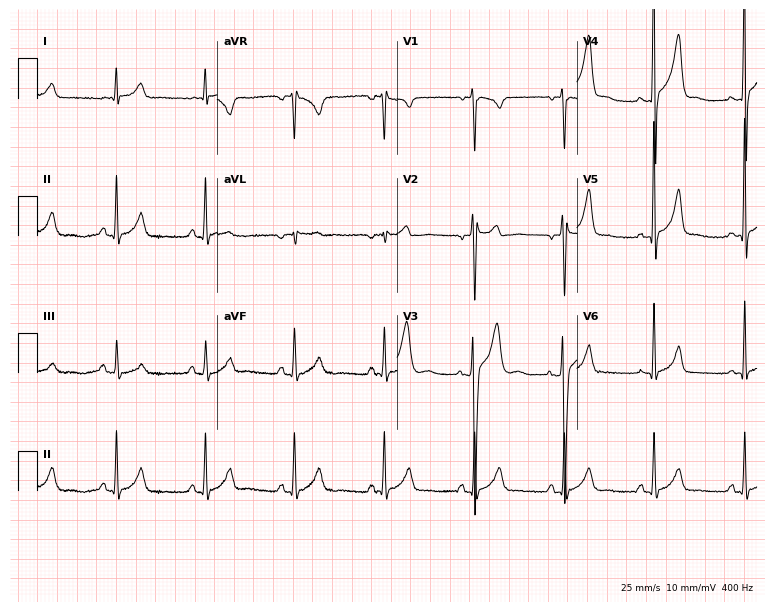
12-lead ECG (7.3-second recording at 400 Hz) from a 19-year-old male. Labelled as a normal ECG.